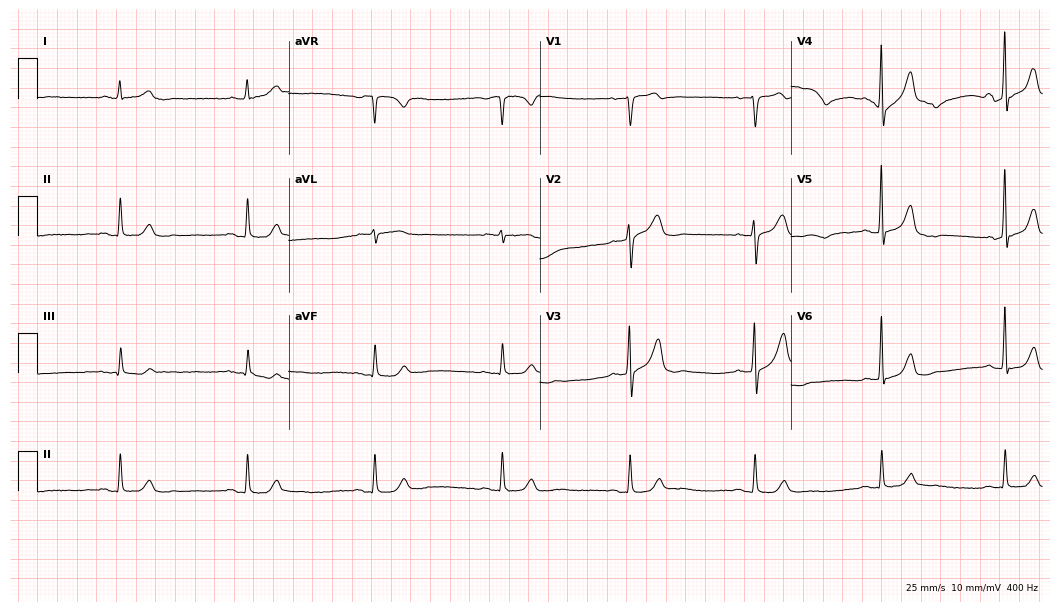
Standard 12-lead ECG recorded from a male patient, 67 years old. None of these six findings is recorded: first-degree AV block, right bundle branch block, left bundle branch block, sinus bradycardia, atrial fibrillation, sinus tachycardia.